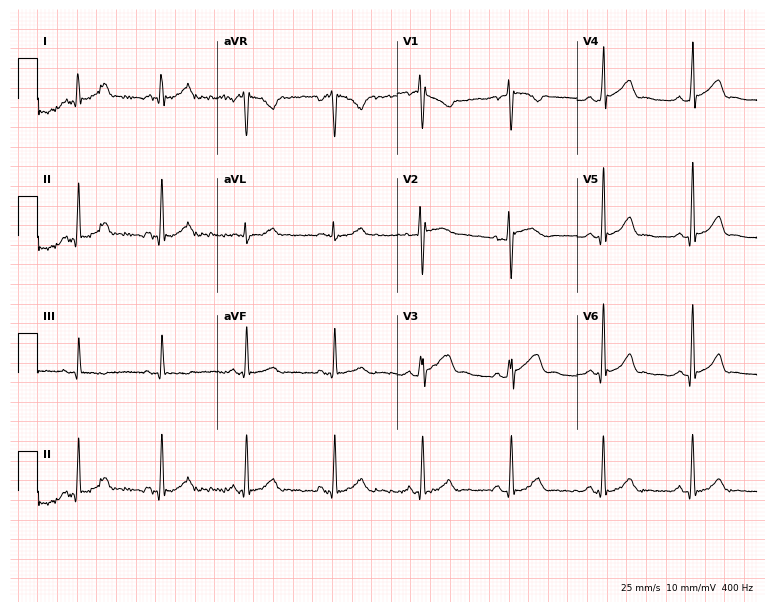
12-lead ECG from a 25-year-old woman. No first-degree AV block, right bundle branch block (RBBB), left bundle branch block (LBBB), sinus bradycardia, atrial fibrillation (AF) or sinus tachycardia recorded for this tracing. Other findings, if any, are not listed.